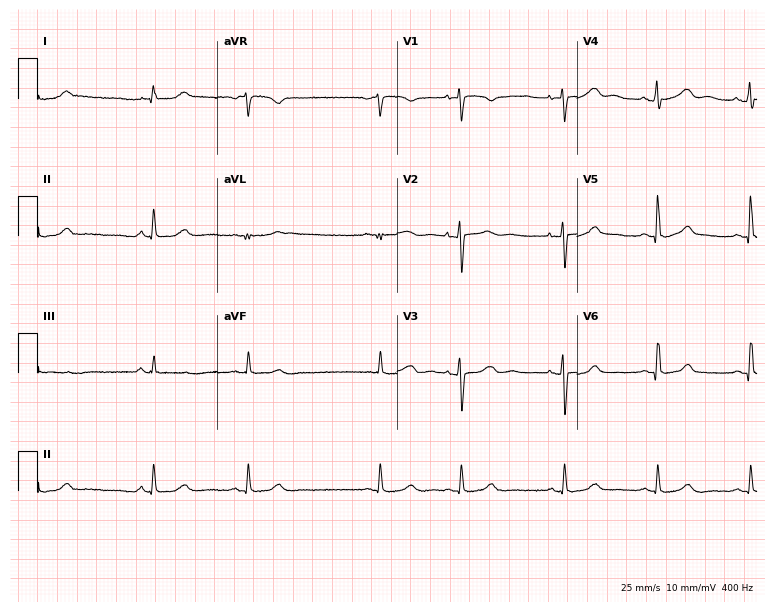
Electrocardiogram (7.3-second recording at 400 Hz), a 50-year-old female patient. Of the six screened findings (first-degree AV block, right bundle branch block (RBBB), left bundle branch block (LBBB), sinus bradycardia, atrial fibrillation (AF), sinus tachycardia), none is recorded.